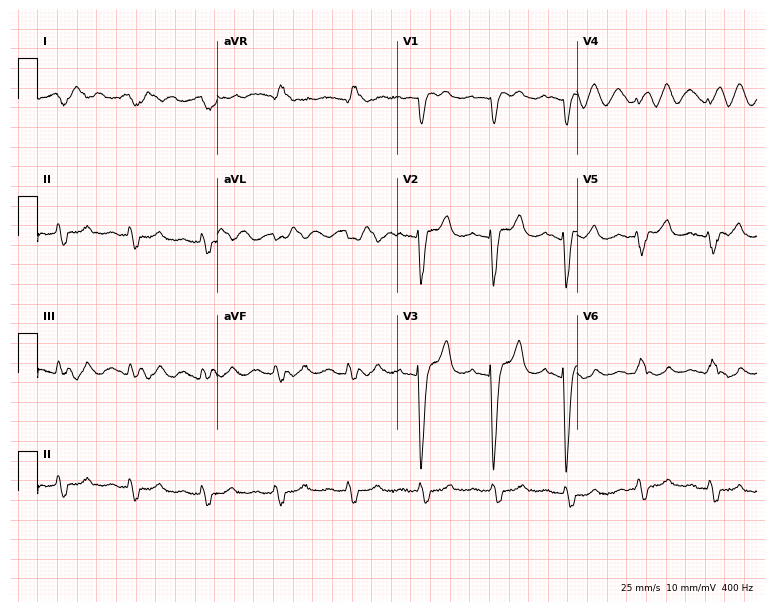
Resting 12-lead electrocardiogram (7.3-second recording at 400 Hz). Patient: a female, 70 years old. None of these six findings is recorded: first-degree AV block, right bundle branch block, left bundle branch block, sinus bradycardia, atrial fibrillation, sinus tachycardia. Other findings, if any, are not listed.